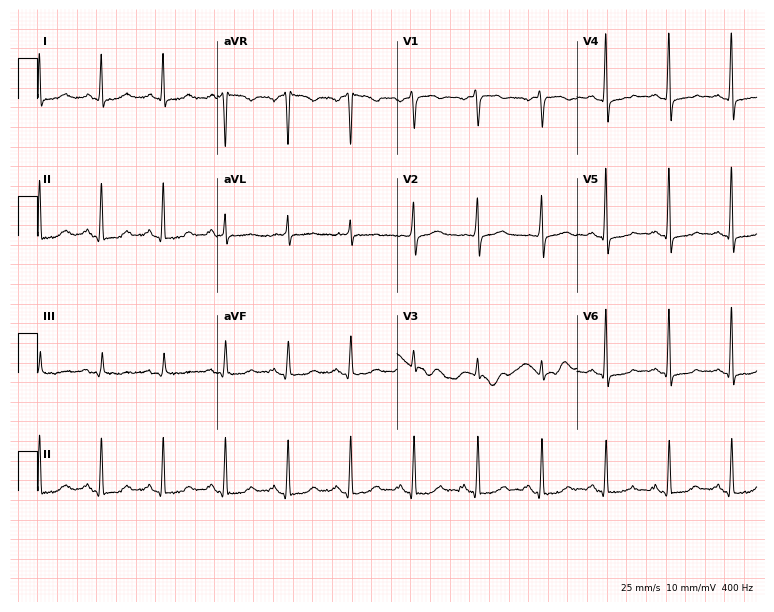
Electrocardiogram, a female patient, 54 years old. Of the six screened findings (first-degree AV block, right bundle branch block, left bundle branch block, sinus bradycardia, atrial fibrillation, sinus tachycardia), none is recorded.